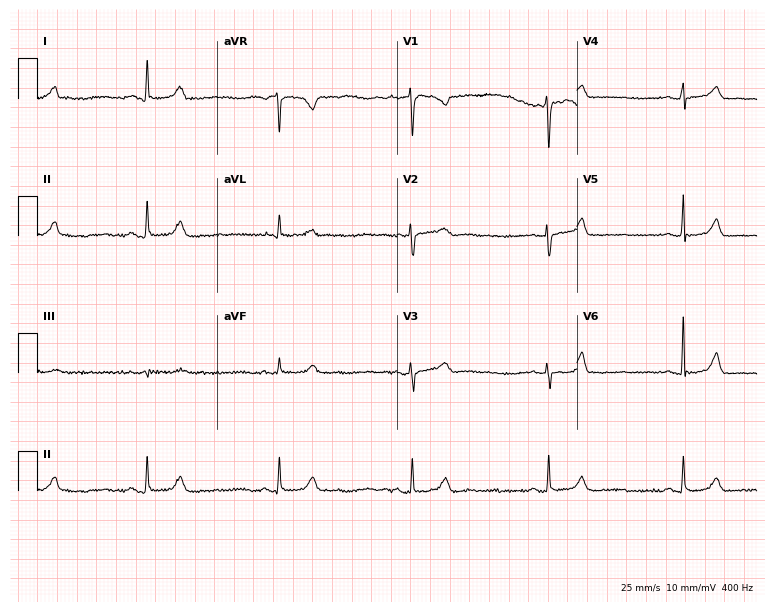
12-lead ECG (7.3-second recording at 400 Hz) from a 36-year-old female patient. Findings include sinus bradycardia (a sinus rate of 50 beats per minute or less).